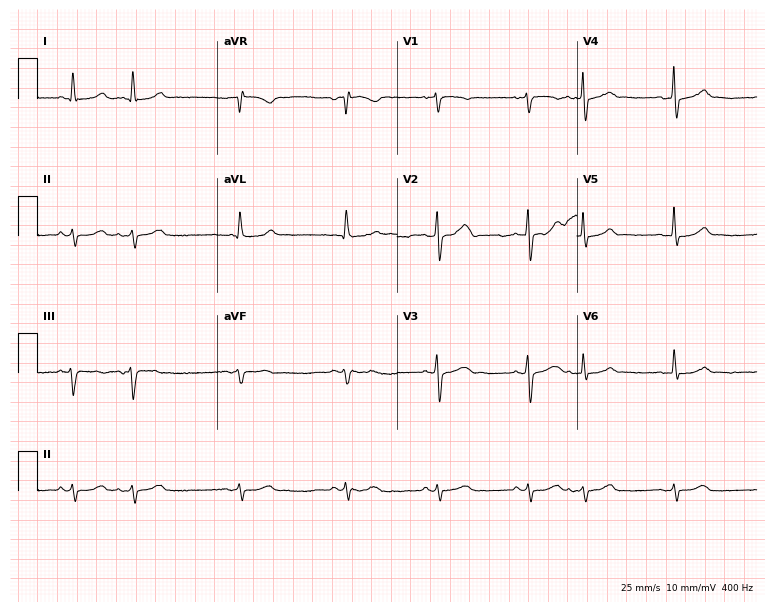
12-lead ECG from an 83-year-old male (7.3-second recording at 400 Hz). No first-degree AV block, right bundle branch block (RBBB), left bundle branch block (LBBB), sinus bradycardia, atrial fibrillation (AF) or sinus tachycardia recorded for this tracing. Findings outside these six are not listed.